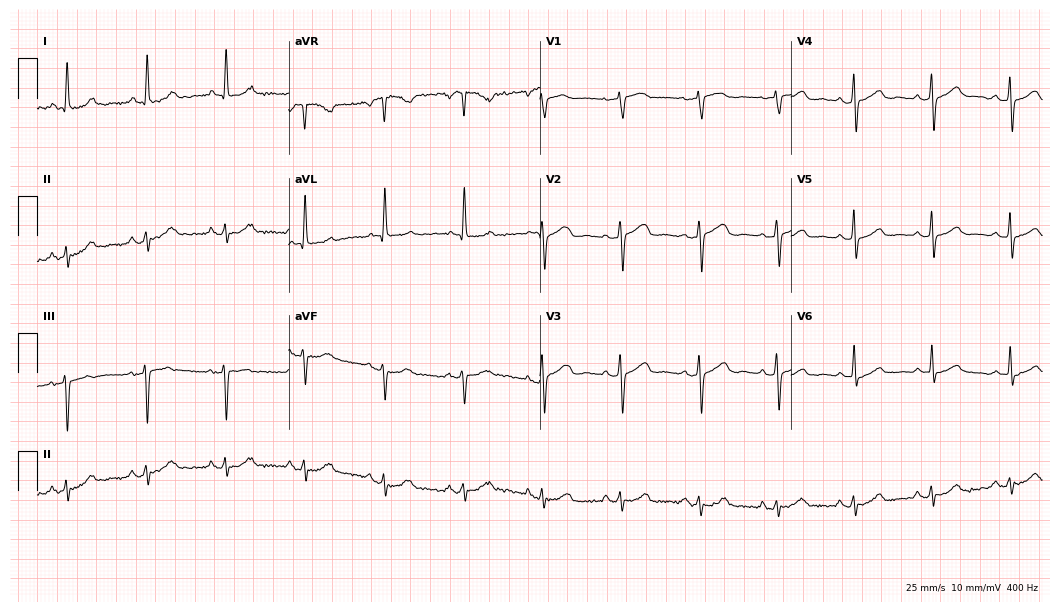
Electrocardiogram (10.2-second recording at 400 Hz), a female, 75 years old. Overall reading on record: normal ECG.